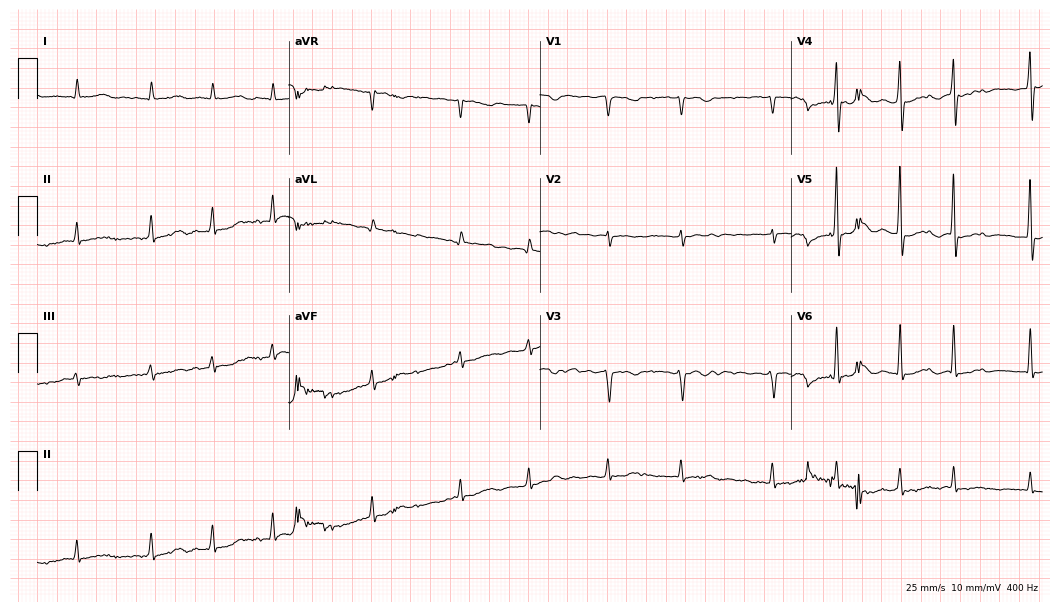
Resting 12-lead electrocardiogram. Patient: an 83-year-old female. None of these six findings is recorded: first-degree AV block, right bundle branch block (RBBB), left bundle branch block (LBBB), sinus bradycardia, atrial fibrillation (AF), sinus tachycardia. Only these six findings were labelled.